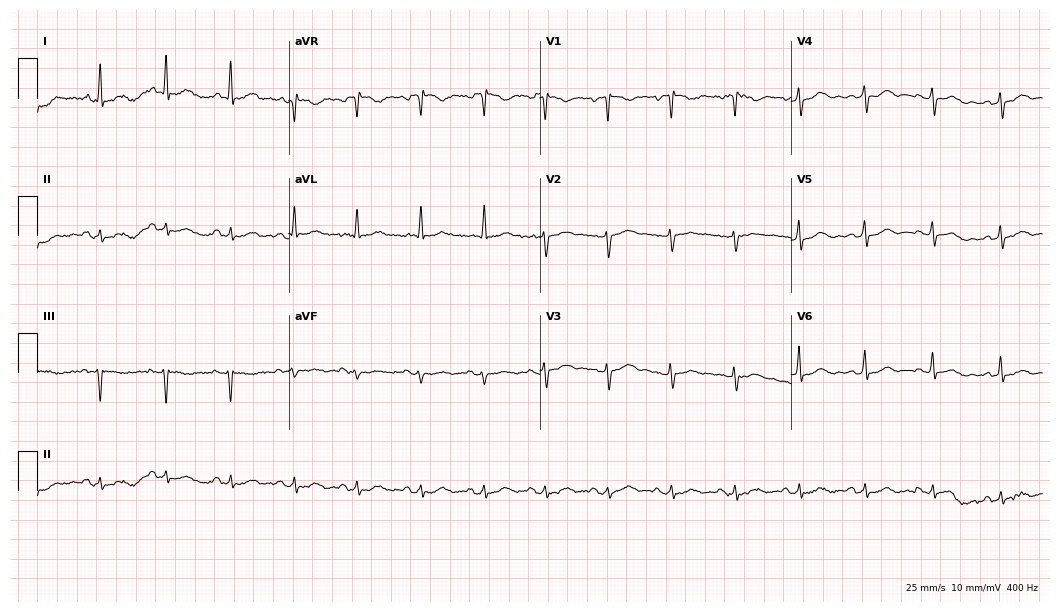
12-lead ECG from a woman, 45 years old (10.2-second recording at 400 Hz). Recorded interpretation: within normal limits.